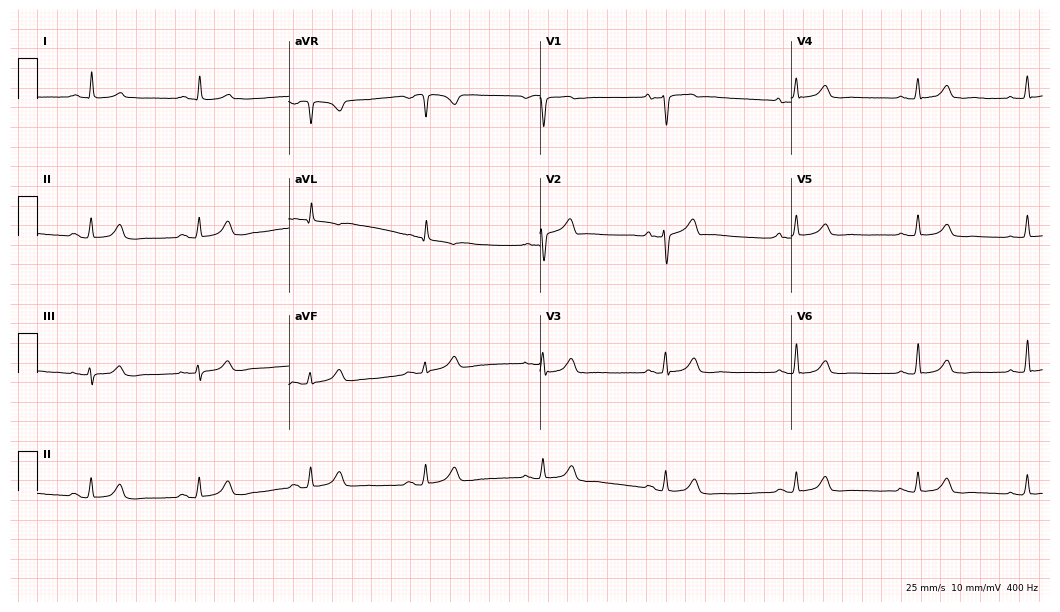
Resting 12-lead electrocardiogram. Patient: a man, 72 years old. Read as a normal ECG.